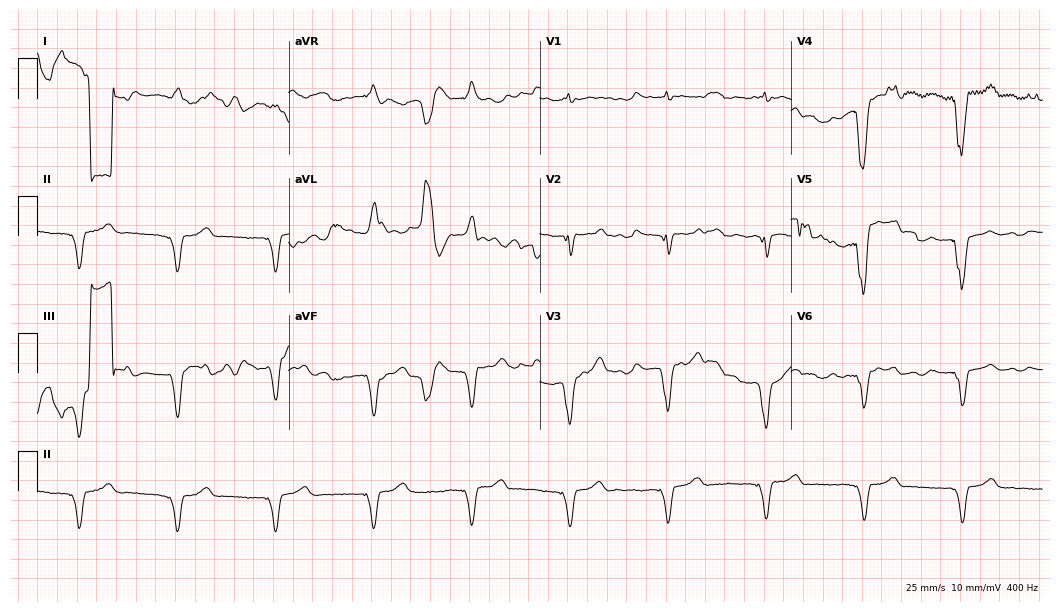
Resting 12-lead electrocardiogram. Patient: a male, 80 years old. None of these six findings is recorded: first-degree AV block, right bundle branch block, left bundle branch block, sinus bradycardia, atrial fibrillation, sinus tachycardia. Other findings, if any, are not listed.